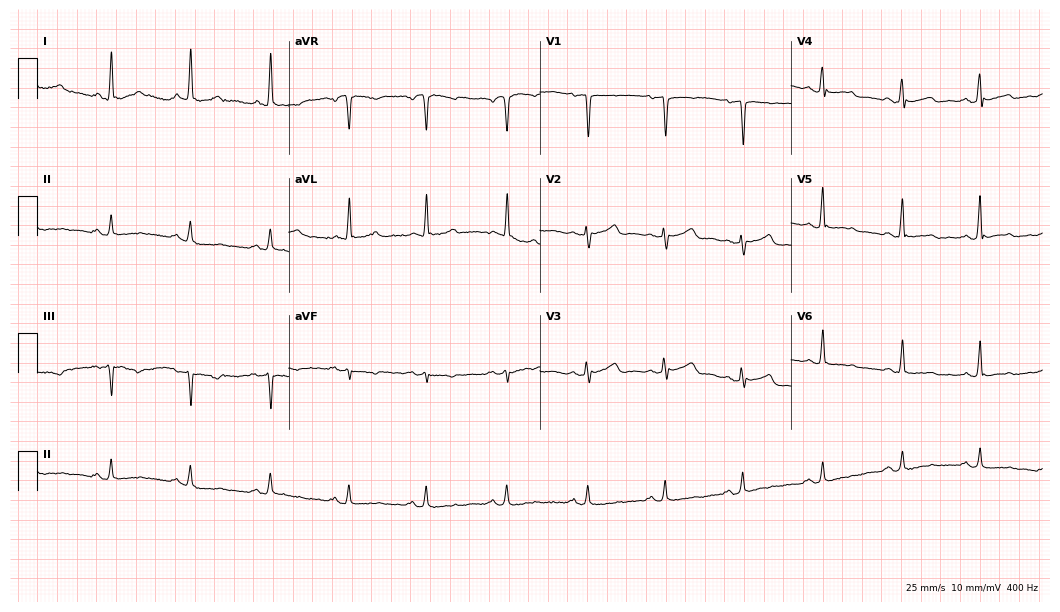
Resting 12-lead electrocardiogram. Patient: a female, 65 years old. None of these six findings is recorded: first-degree AV block, right bundle branch block, left bundle branch block, sinus bradycardia, atrial fibrillation, sinus tachycardia.